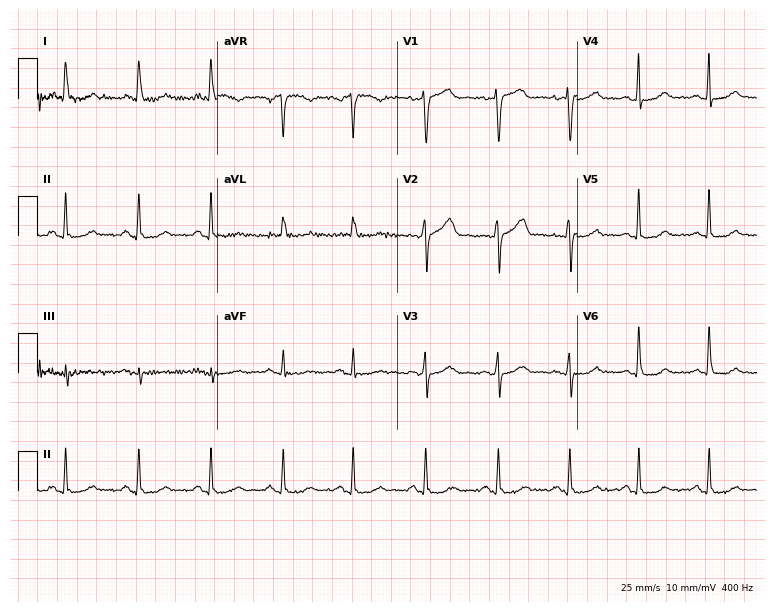
12-lead ECG (7.3-second recording at 400 Hz) from a 40-year-old female. Screened for six findings — first-degree AV block, right bundle branch block, left bundle branch block, sinus bradycardia, atrial fibrillation, sinus tachycardia — none is recorded.